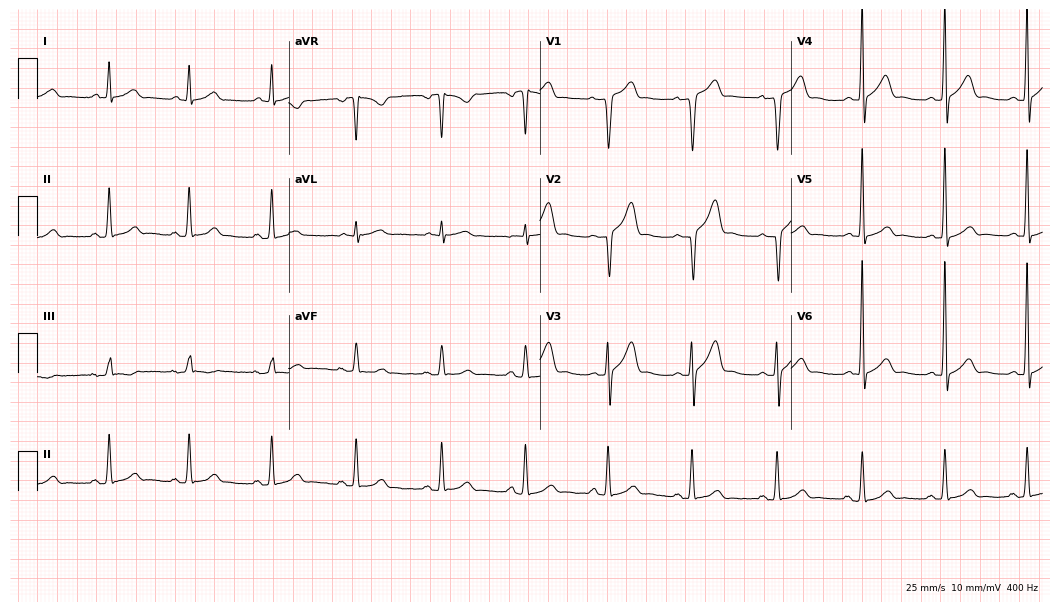
12-lead ECG from a male, 71 years old. No first-degree AV block, right bundle branch block, left bundle branch block, sinus bradycardia, atrial fibrillation or sinus tachycardia recorded for this tracing. Other findings, if any, are not listed.